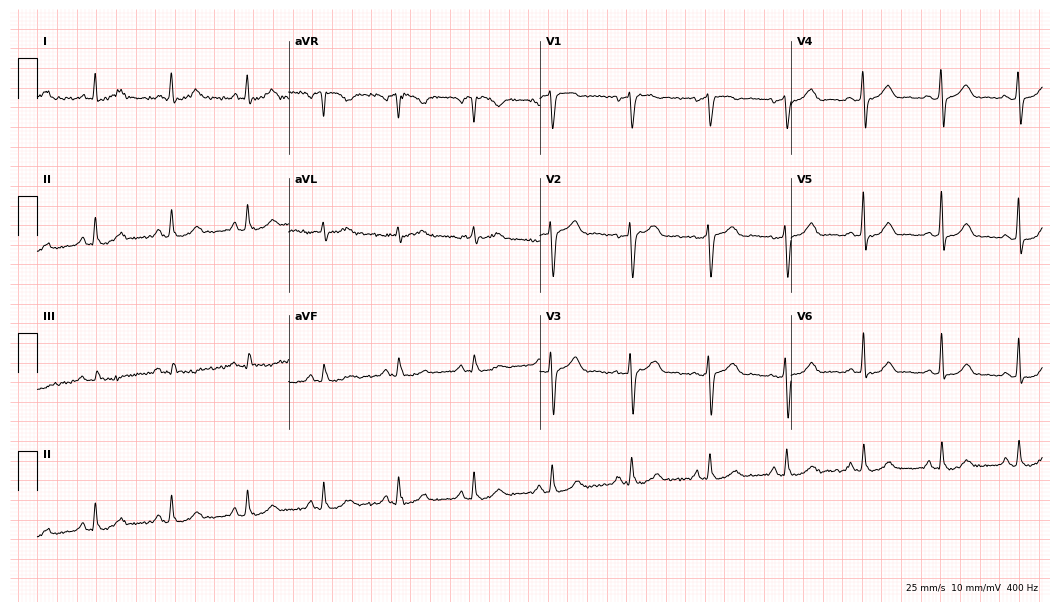
12-lead ECG from a 53-year-old female. No first-degree AV block, right bundle branch block, left bundle branch block, sinus bradycardia, atrial fibrillation or sinus tachycardia recorded for this tracing. Findings outside these six are not listed.